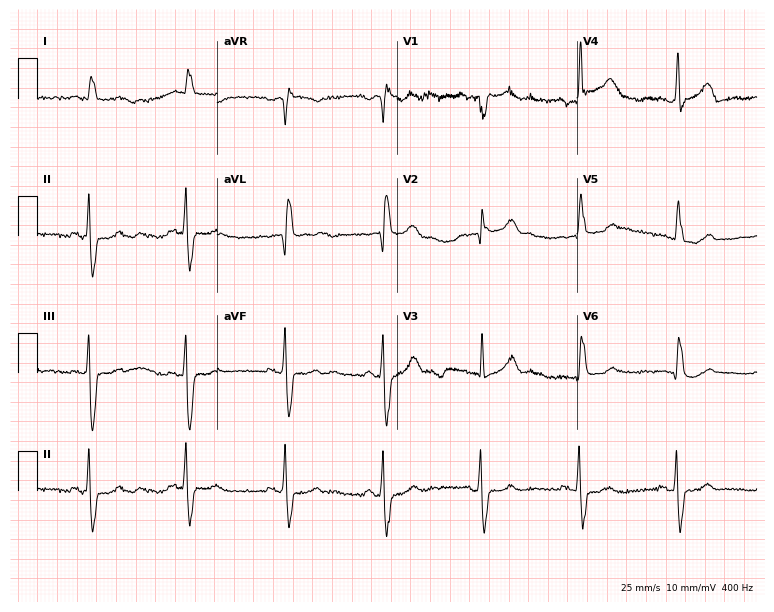
ECG — an 83-year-old male. Screened for six findings — first-degree AV block, right bundle branch block, left bundle branch block, sinus bradycardia, atrial fibrillation, sinus tachycardia — none is recorded.